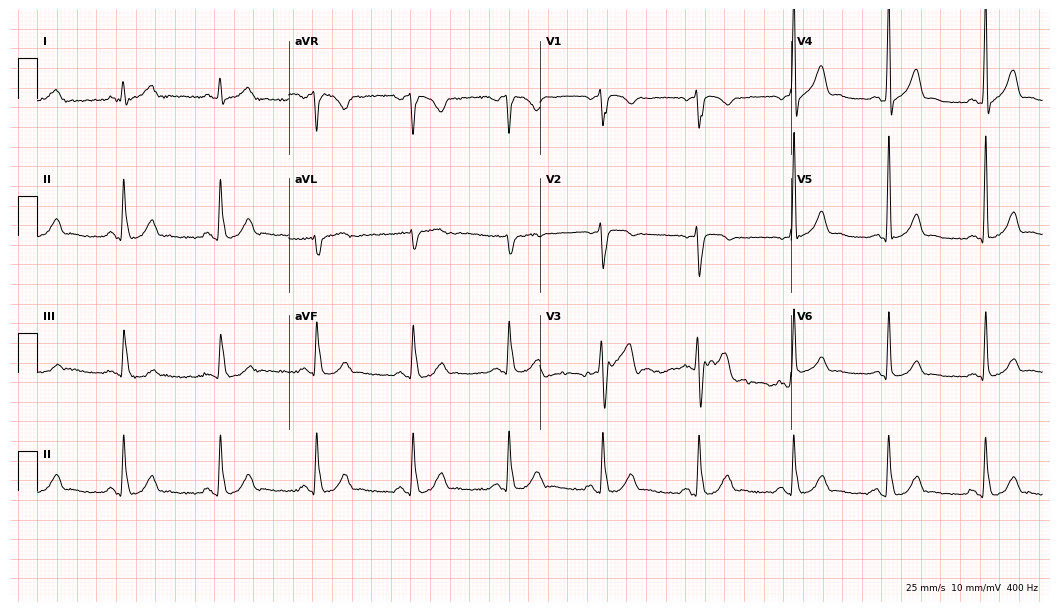
Resting 12-lead electrocardiogram. Patient: a 32-year-old man. None of these six findings is recorded: first-degree AV block, right bundle branch block, left bundle branch block, sinus bradycardia, atrial fibrillation, sinus tachycardia.